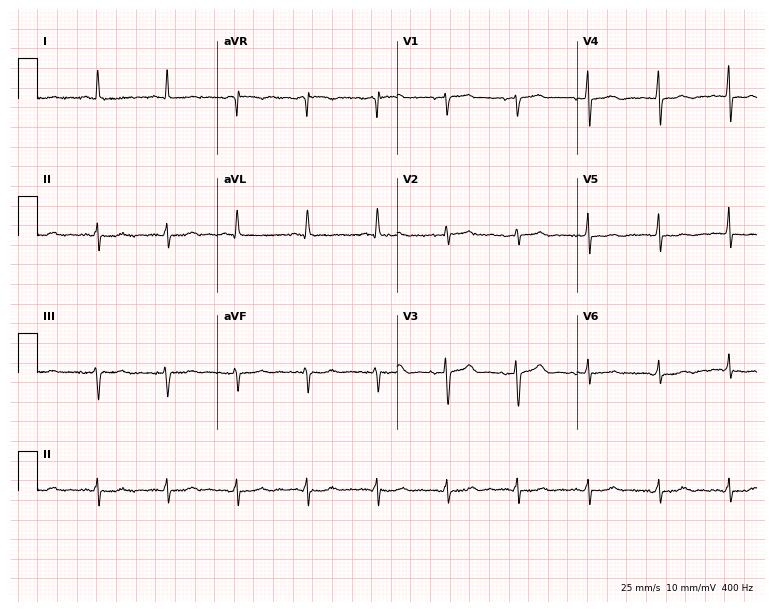
Standard 12-lead ECG recorded from an 85-year-old female patient. None of these six findings is recorded: first-degree AV block, right bundle branch block (RBBB), left bundle branch block (LBBB), sinus bradycardia, atrial fibrillation (AF), sinus tachycardia. Other findings, if any, are not listed.